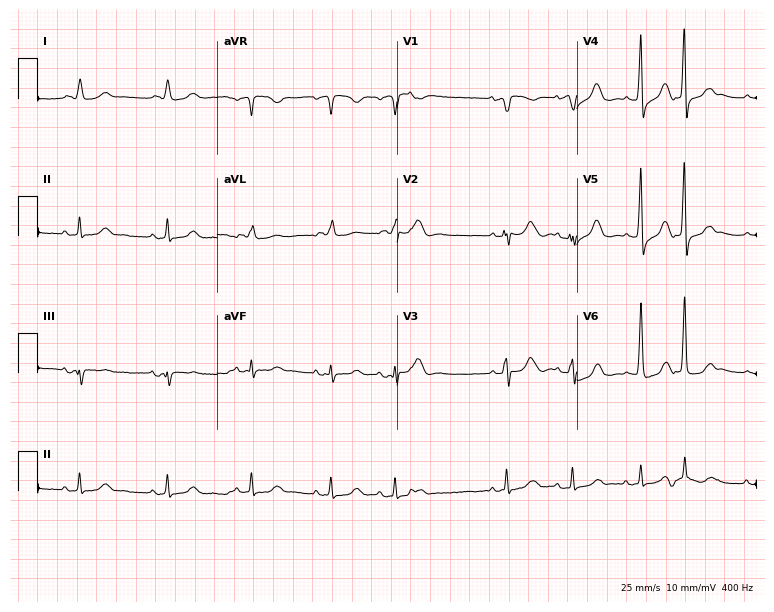
Electrocardiogram, an 82-year-old woman. Of the six screened findings (first-degree AV block, right bundle branch block (RBBB), left bundle branch block (LBBB), sinus bradycardia, atrial fibrillation (AF), sinus tachycardia), none is recorded.